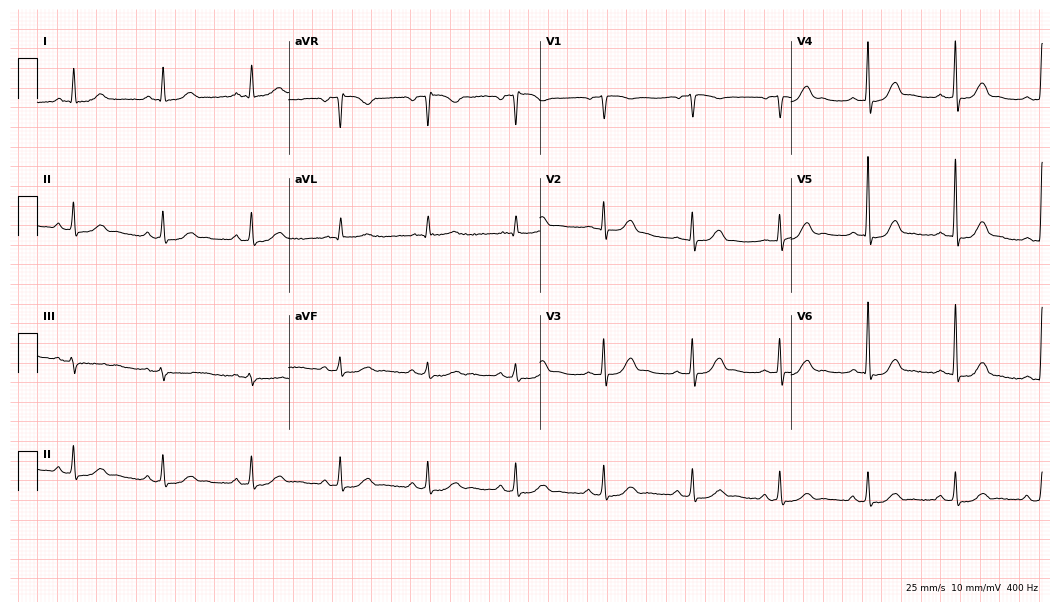
12-lead ECG from a male, 76 years old (10.2-second recording at 400 Hz). Recorded interpretation: within normal limits.